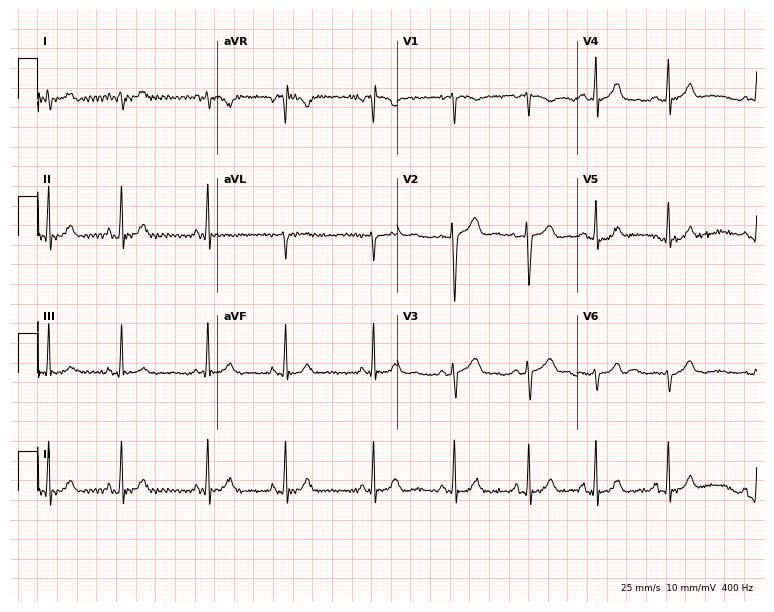
Resting 12-lead electrocardiogram. Patient: a woman, 21 years old. None of these six findings is recorded: first-degree AV block, right bundle branch block, left bundle branch block, sinus bradycardia, atrial fibrillation, sinus tachycardia. Only these six findings were labelled.